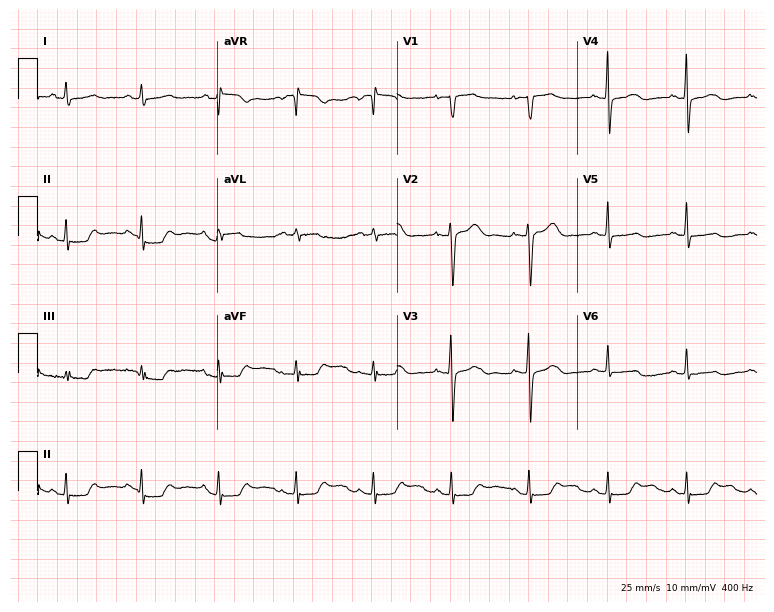
12-lead ECG from a woman, 58 years old. No first-degree AV block, right bundle branch block (RBBB), left bundle branch block (LBBB), sinus bradycardia, atrial fibrillation (AF) or sinus tachycardia recorded for this tracing.